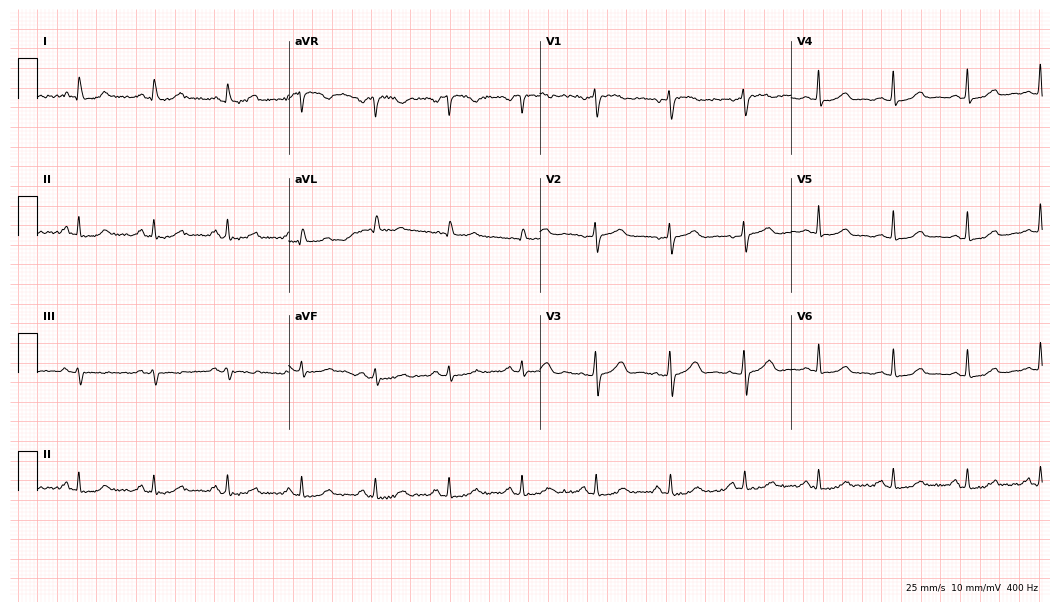
Electrocardiogram (10.2-second recording at 400 Hz), a 50-year-old woman. Overall reading on record: normal ECG.